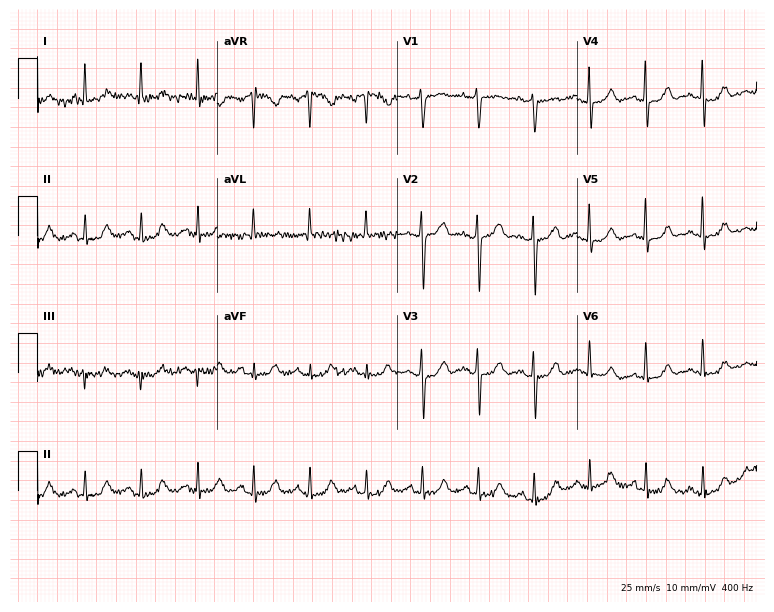
12-lead ECG from a female, 71 years old. Labelled as a normal ECG.